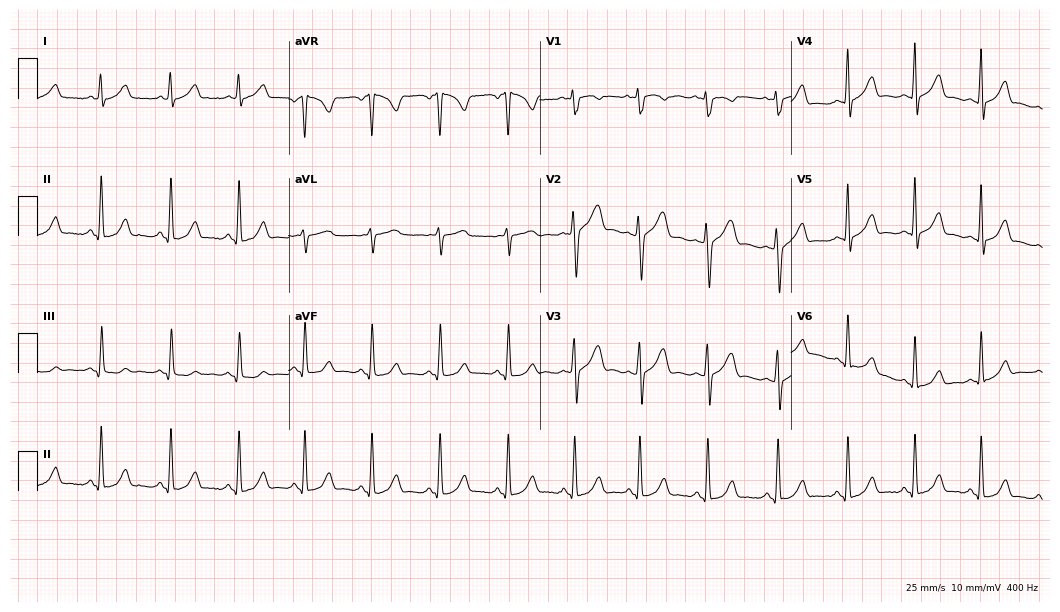
Resting 12-lead electrocardiogram. Patient: a female, 29 years old. Read as a normal ECG.